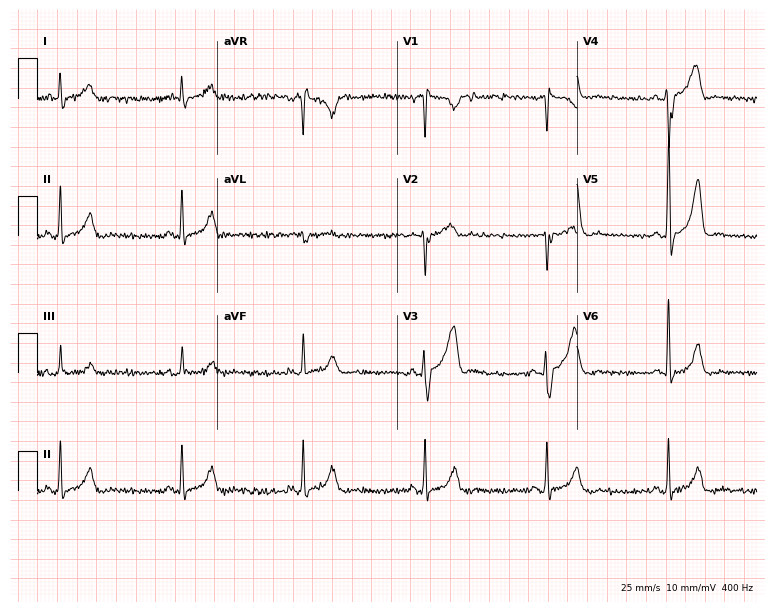
12-lead ECG from a male, 69 years old (7.3-second recording at 400 Hz). No first-degree AV block, right bundle branch block, left bundle branch block, sinus bradycardia, atrial fibrillation or sinus tachycardia recorded for this tracing.